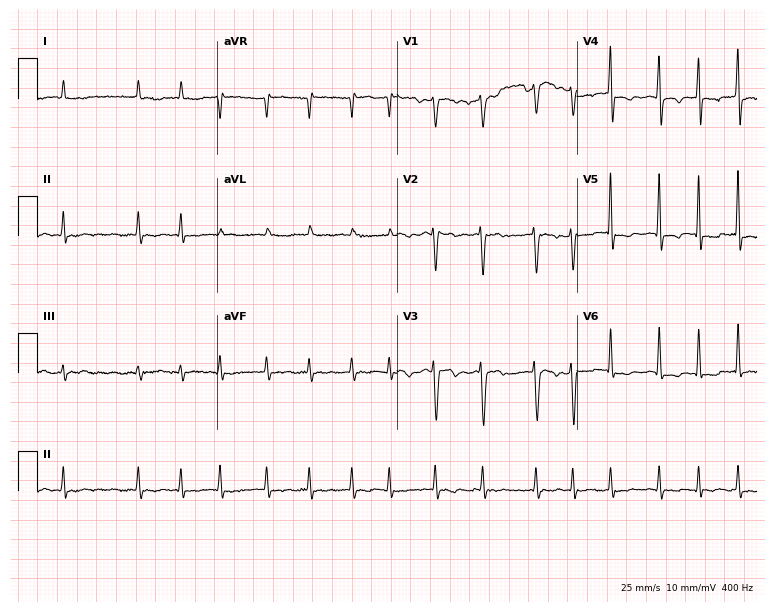
Standard 12-lead ECG recorded from a female patient, 84 years old. The tracing shows atrial fibrillation.